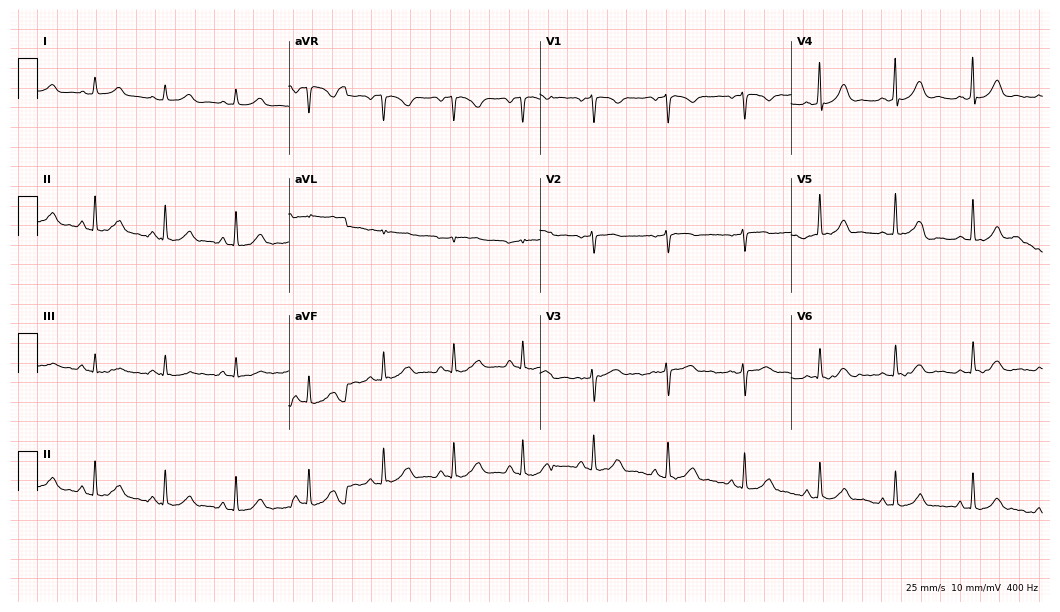
12-lead ECG from a female patient, 33 years old. No first-degree AV block, right bundle branch block, left bundle branch block, sinus bradycardia, atrial fibrillation or sinus tachycardia recorded for this tracing. Findings outside these six are not listed.